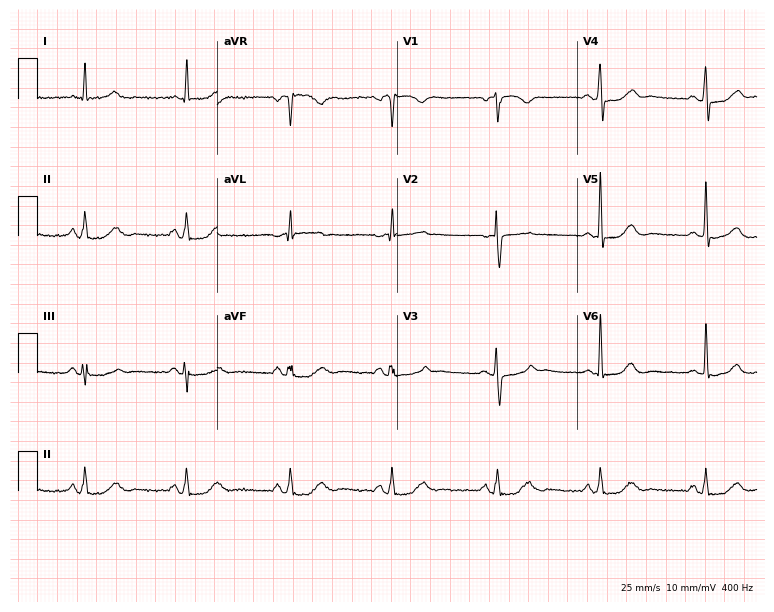
Resting 12-lead electrocardiogram (7.3-second recording at 400 Hz). Patient: a female, 82 years old. None of these six findings is recorded: first-degree AV block, right bundle branch block, left bundle branch block, sinus bradycardia, atrial fibrillation, sinus tachycardia.